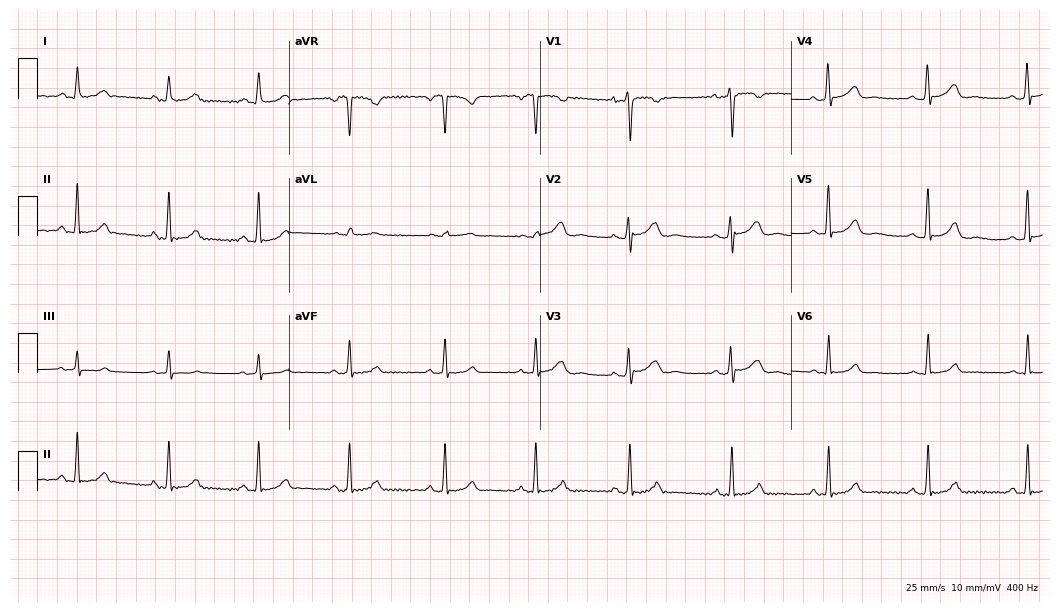
Standard 12-lead ECG recorded from a female patient, 37 years old (10.2-second recording at 400 Hz). Read as a normal ECG.